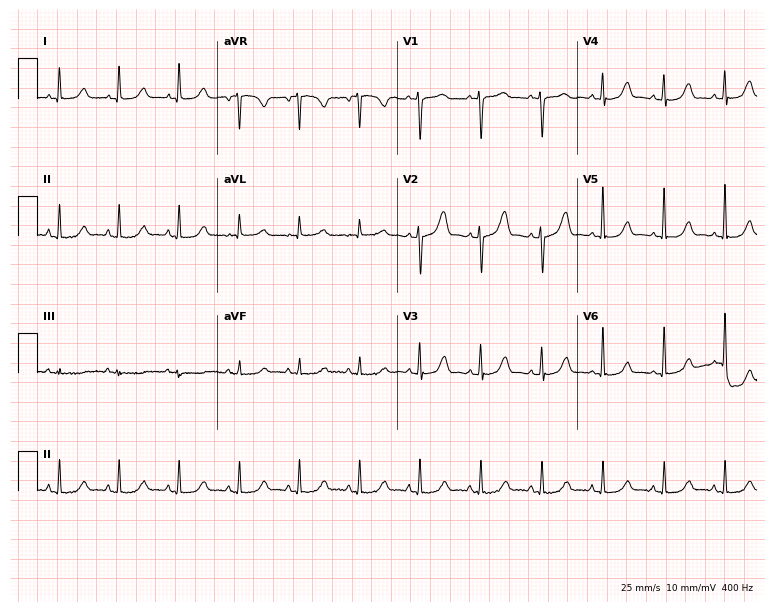
ECG (7.3-second recording at 400 Hz) — a woman, 64 years old. Labelled as a normal ECG.